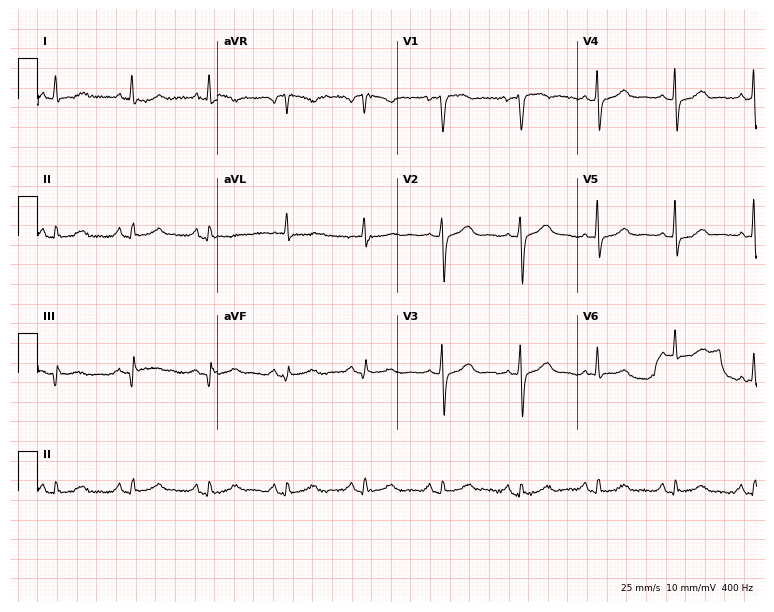
Standard 12-lead ECG recorded from a woman, 64 years old. None of these six findings is recorded: first-degree AV block, right bundle branch block, left bundle branch block, sinus bradycardia, atrial fibrillation, sinus tachycardia. Only these six findings were labelled.